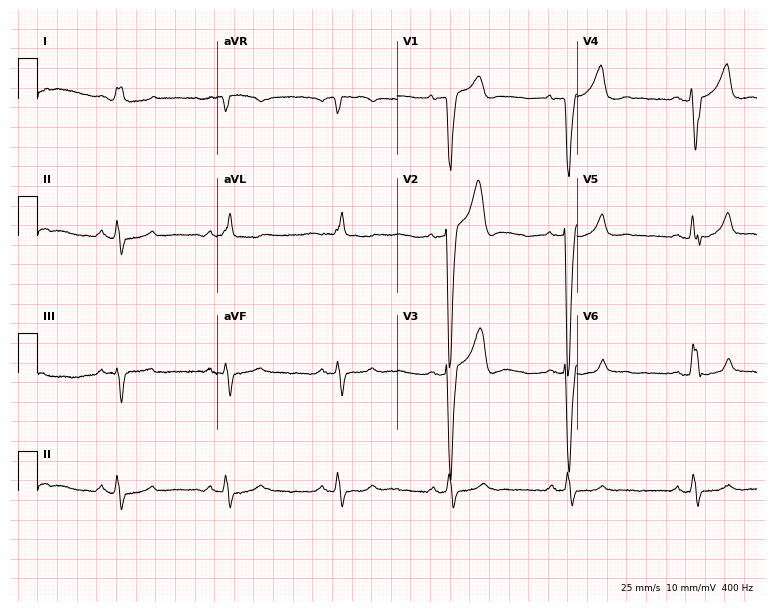
ECG (7.3-second recording at 400 Hz) — a male, 74 years old. Findings include left bundle branch block.